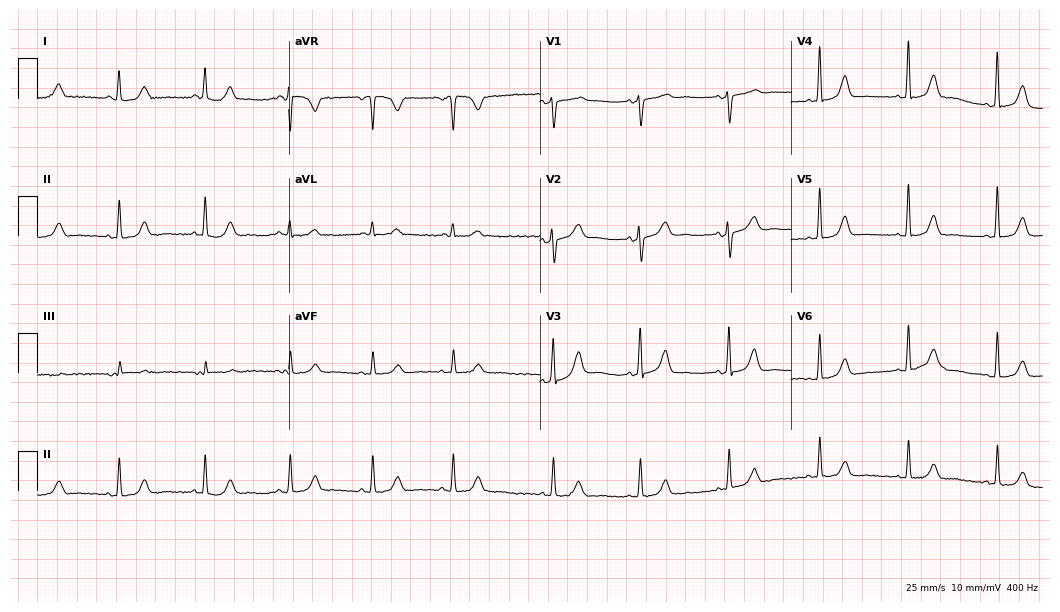
Electrocardiogram, a female patient, 45 years old. Of the six screened findings (first-degree AV block, right bundle branch block, left bundle branch block, sinus bradycardia, atrial fibrillation, sinus tachycardia), none is recorded.